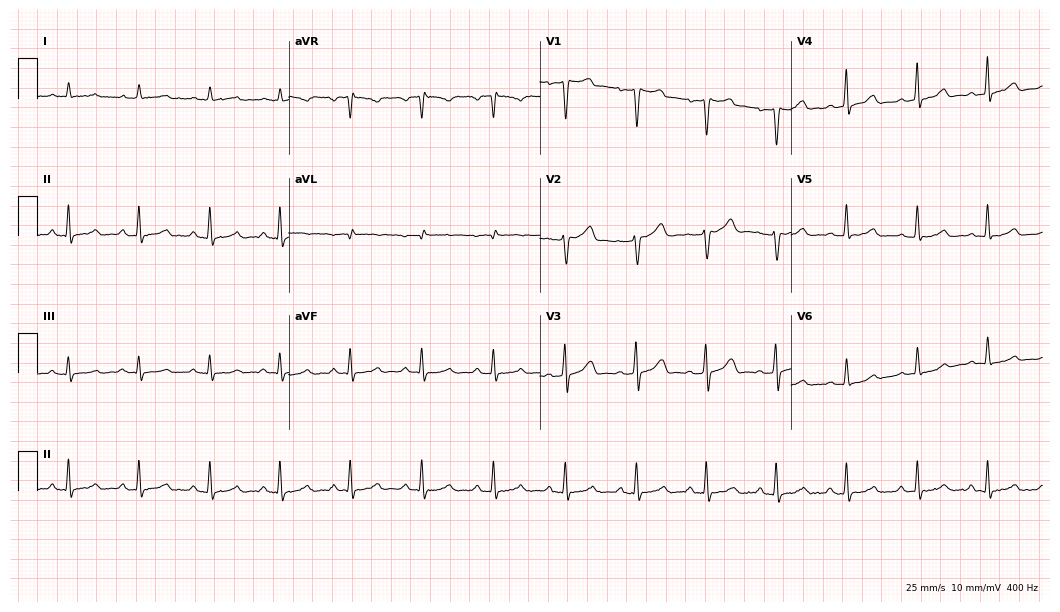
ECG — a male, 67 years old. Labelled as a normal ECG.